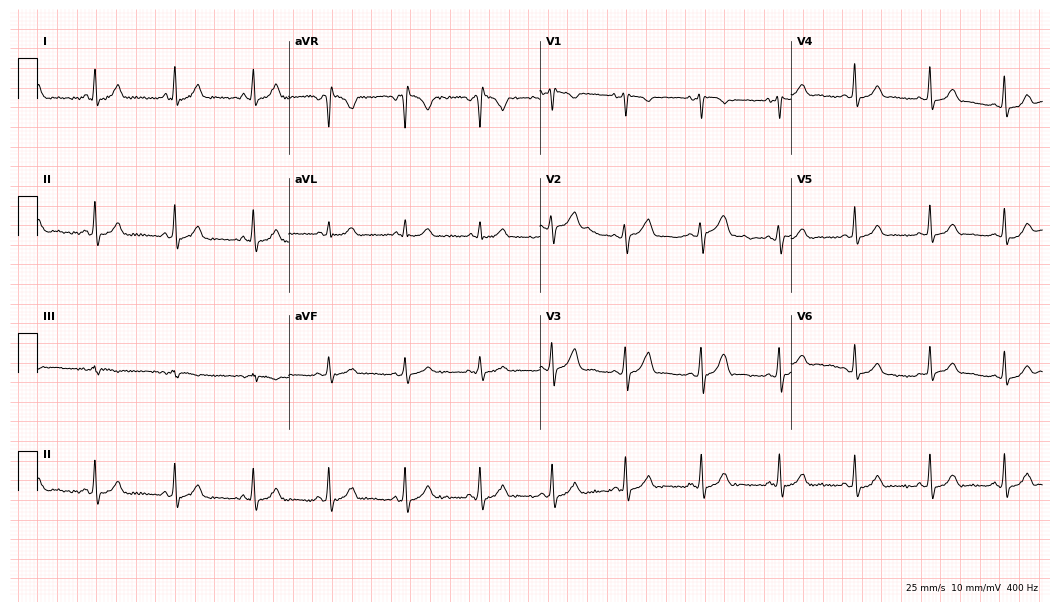
Resting 12-lead electrocardiogram. Patient: a female, 30 years old. None of these six findings is recorded: first-degree AV block, right bundle branch block, left bundle branch block, sinus bradycardia, atrial fibrillation, sinus tachycardia. Findings outside these six are not listed.